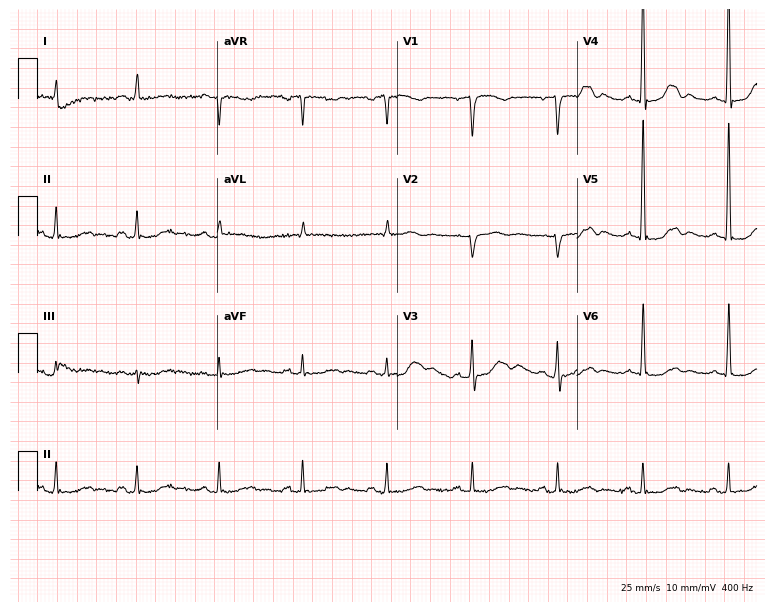
12-lead ECG from a 79-year-old male patient (7.3-second recording at 400 Hz). Recorded interpretation: within normal limits.